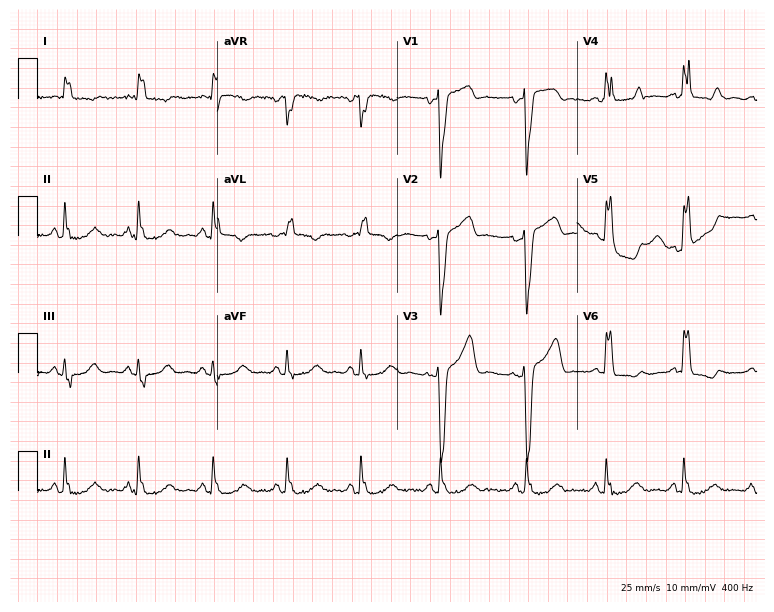
Resting 12-lead electrocardiogram (7.3-second recording at 400 Hz). Patient: a woman, 84 years old. The tracing shows left bundle branch block.